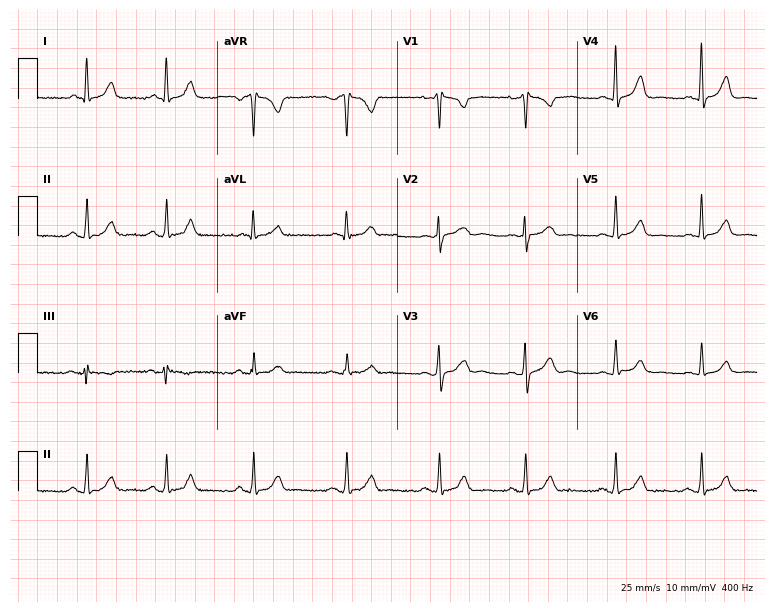
Resting 12-lead electrocardiogram. Patient: a 34-year-old woman. Read as a normal ECG.